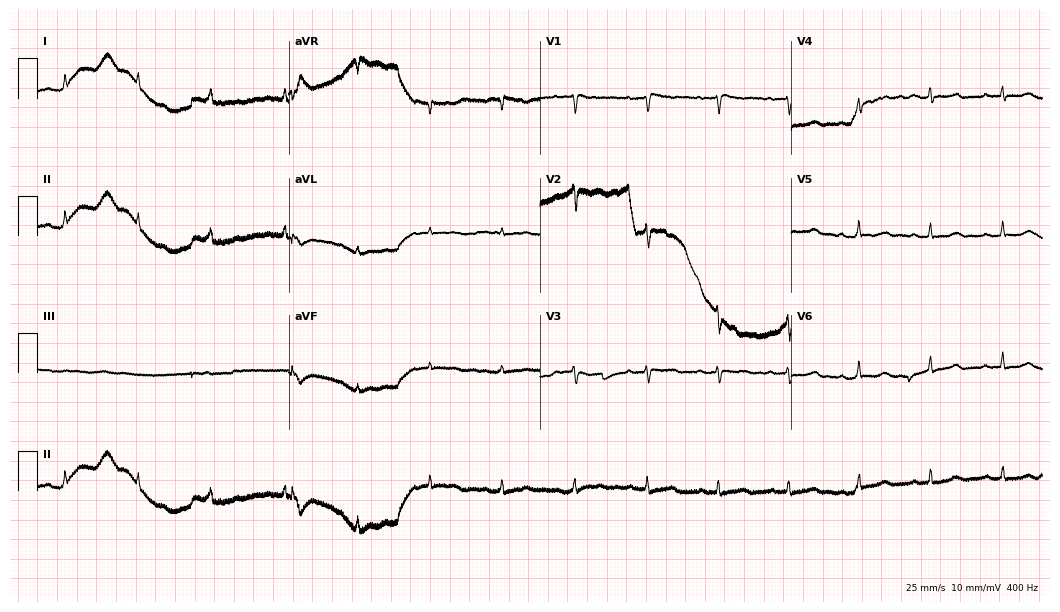
Electrocardiogram, a 60-year-old female patient. Of the six screened findings (first-degree AV block, right bundle branch block, left bundle branch block, sinus bradycardia, atrial fibrillation, sinus tachycardia), none is recorded.